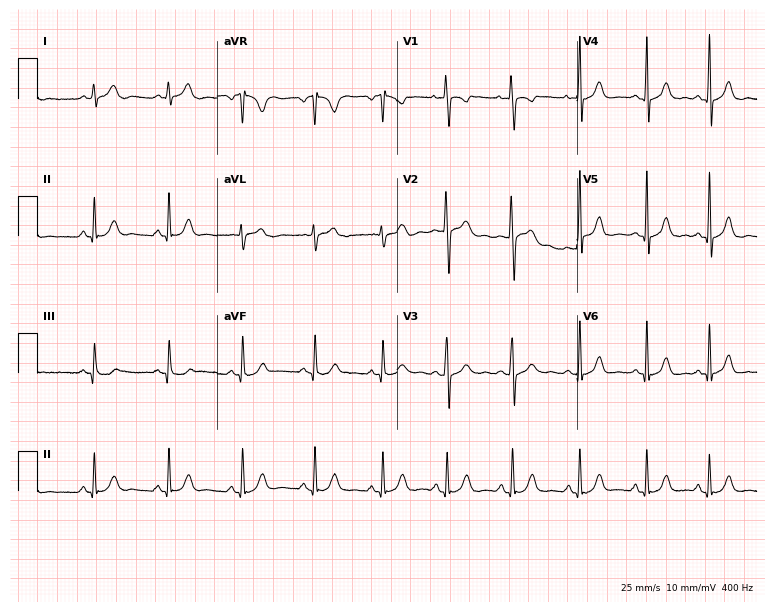
ECG — a female patient, 25 years old. Screened for six findings — first-degree AV block, right bundle branch block, left bundle branch block, sinus bradycardia, atrial fibrillation, sinus tachycardia — none is recorded. Only these six findings were labelled.